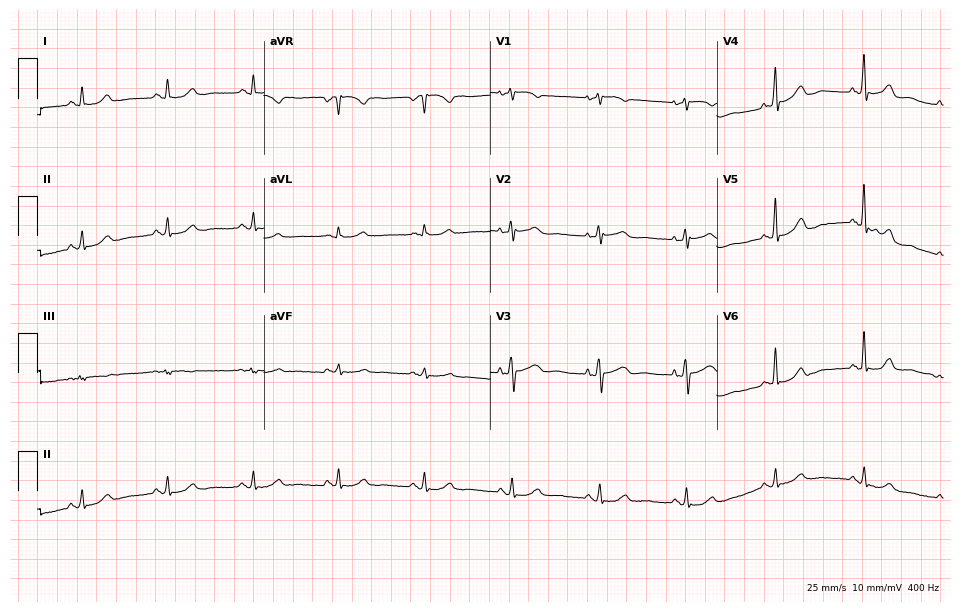
Resting 12-lead electrocardiogram (9.2-second recording at 400 Hz). Patient: a female, 65 years old. Read as a normal ECG.